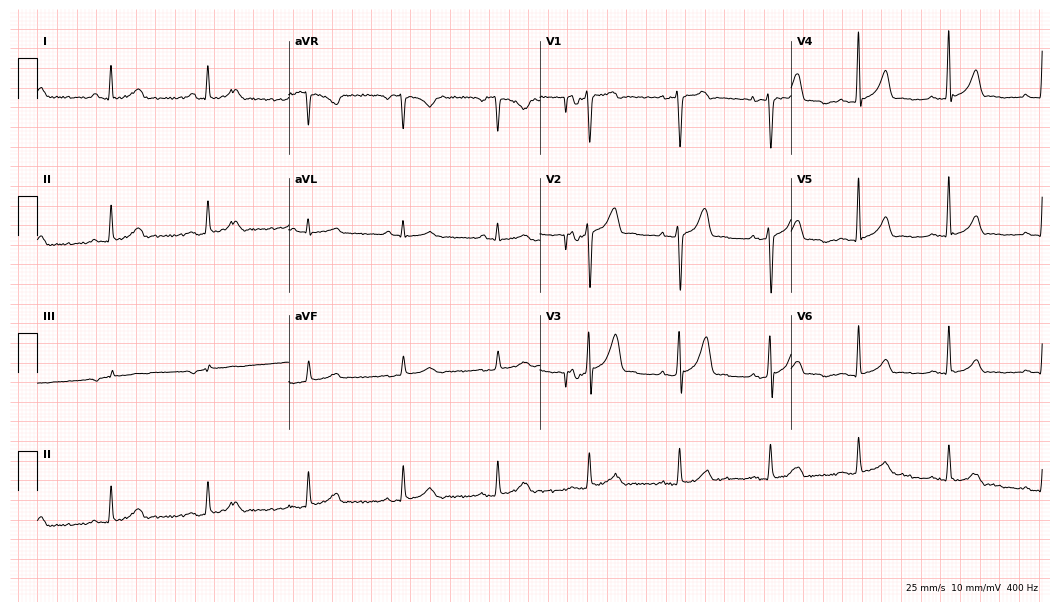
12-lead ECG from a man, 31 years old. No first-degree AV block, right bundle branch block (RBBB), left bundle branch block (LBBB), sinus bradycardia, atrial fibrillation (AF) or sinus tachycardia recorded for this tracing. Findings outside these six are not listed.